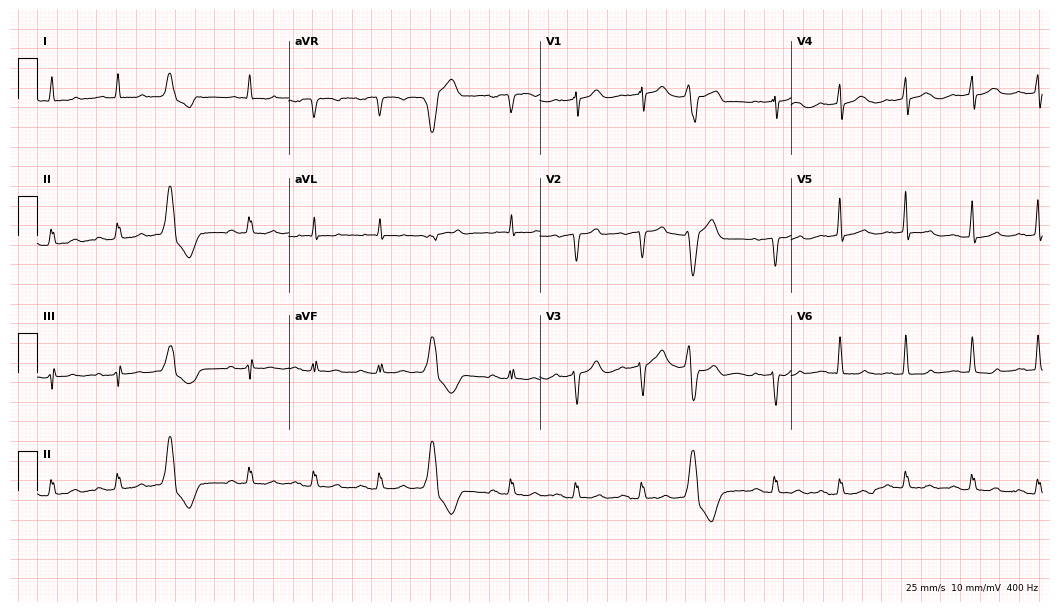
12-lead ECG from an 80-year-old man. Screened for six findings — first-degree AV block, right bundle branch block, left bundle branch block, sinus bradycardia, atrial fibrillation, sinus tachycardia — none is recorded.